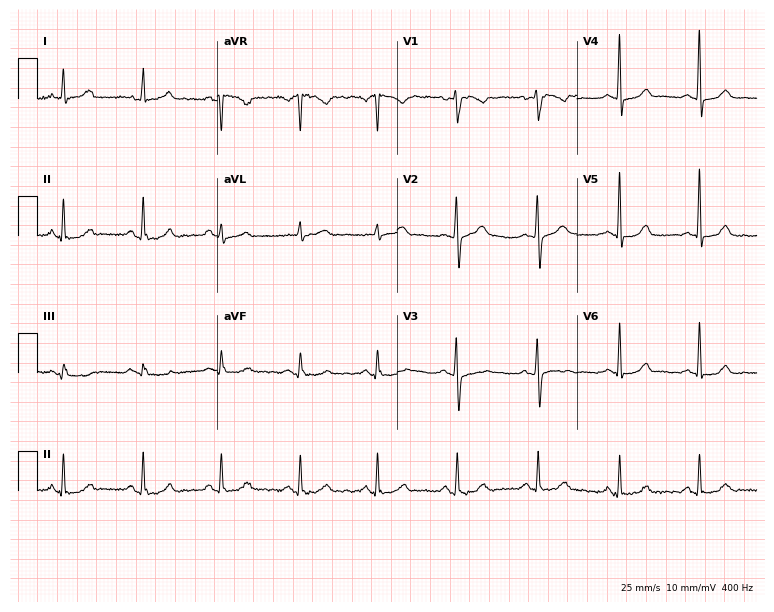
12-lead ECG from a woman, 48 years old. Labelled as a normal ECG.